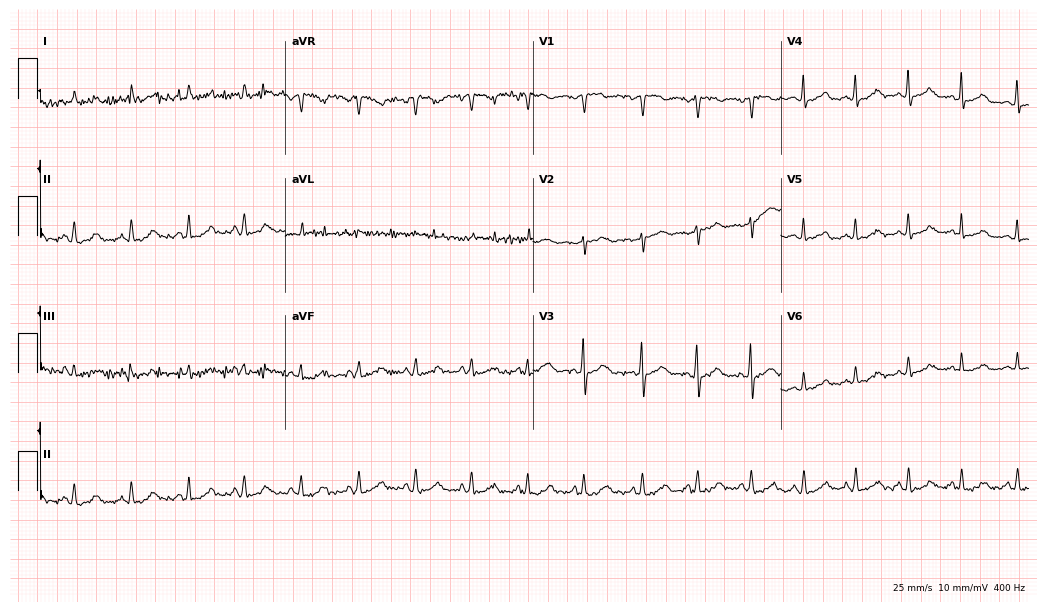
12-lead ECG from a female, 36 years old (10.1-second recording at 400 Hz). No first-degree AV block, right bundle branch block, left bundle branch block, sinus bradycardia, atrial fibrillation or sinus tachycardia recorded for this tracing.